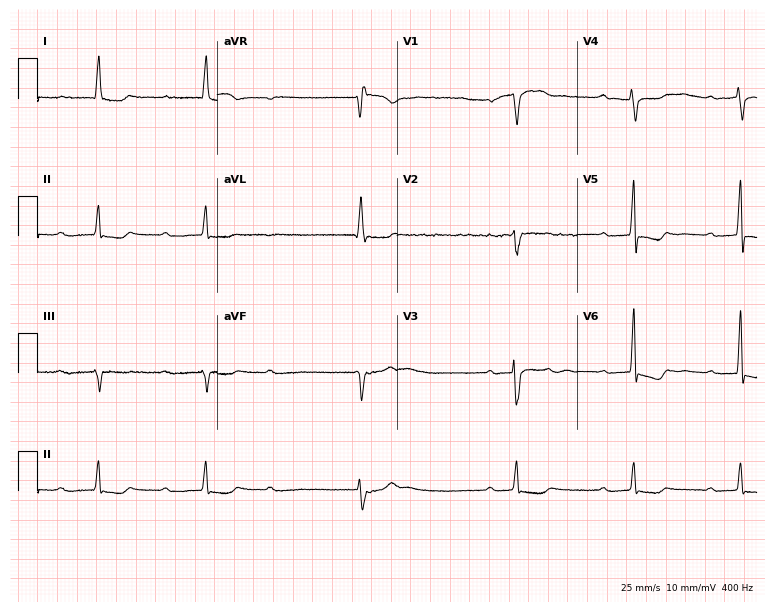
12-lead ECG from a female, 78 years old. Findings include first-degree AV block.